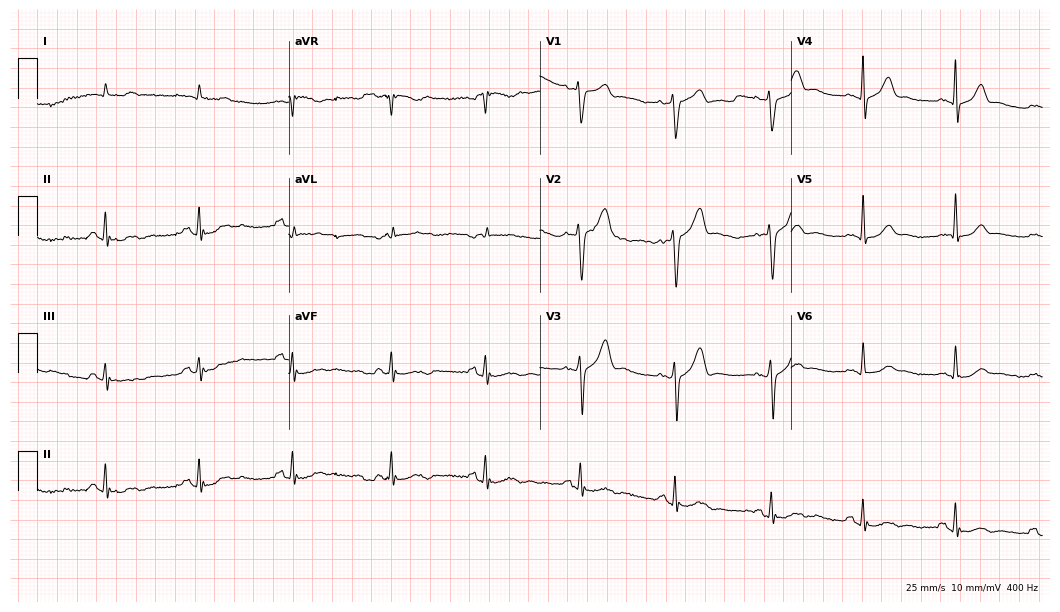
12-lead ECG from a 78-year-old man. No first-degree AV block, right bundle branch block, left bundle branch block, sinus bradycardia, atrial fibrillation or sinus tachycardia recorded for this tracing.